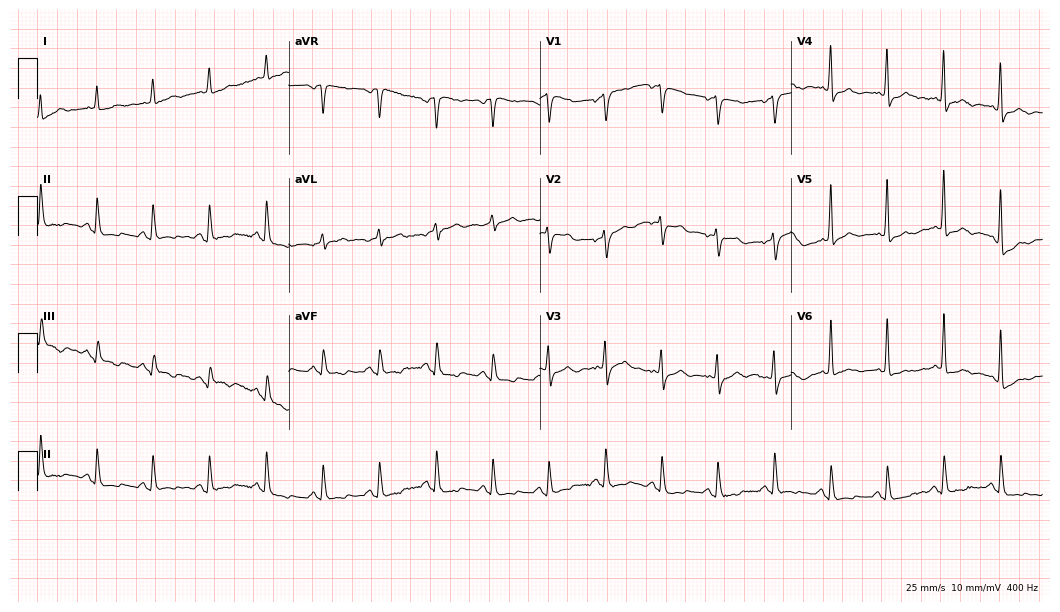
12-lead ECG from a woman, 82 years old. Shows sinus tachycardia (a sinus rate of 100 beats per minute or more).